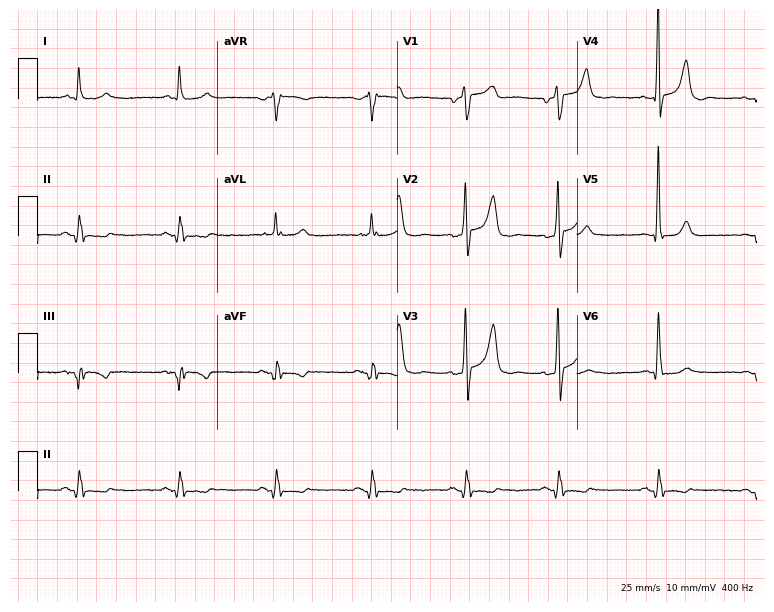
Resting 12-lead electrocardiogram (7.3-second recording at 400 Hz). Patient: a man, 71 years old. None of these six findings is recorded: first-degree AV block, right bundle branch block, left bundle branch block, sinus bradycardia, atrial fibrillation, sinus tachycardia.